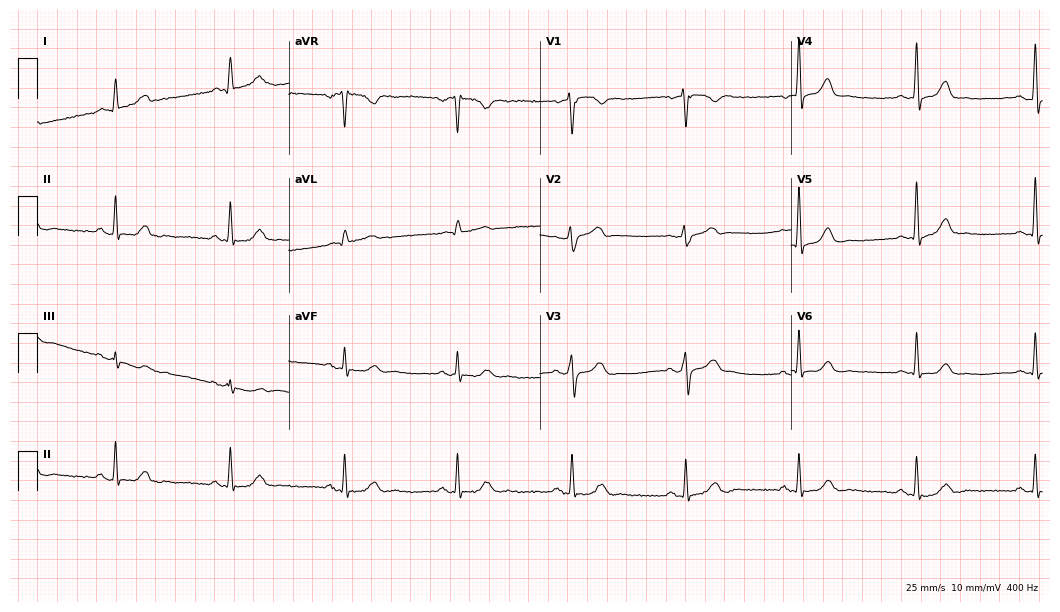
12-lead ECG from a 52-year-old man. Shows sinus bradycardia (a sinus rate of 50 beats per minute or less).